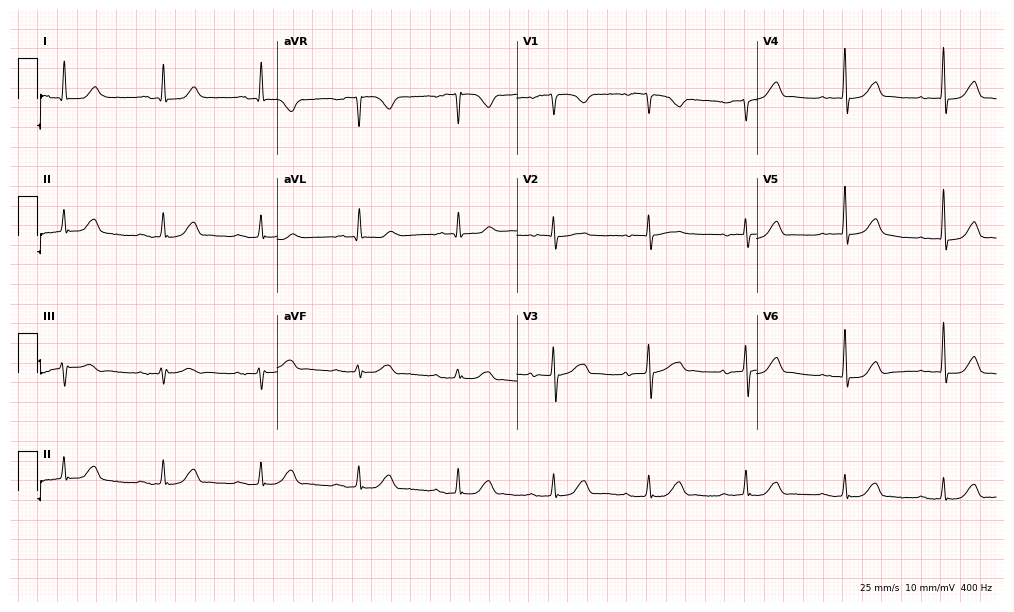
Standard 12-lead ECG recorded from a female patient, 84 years old (9.8-second recording at 400 Hz). The tracing shows first-degree AV block.